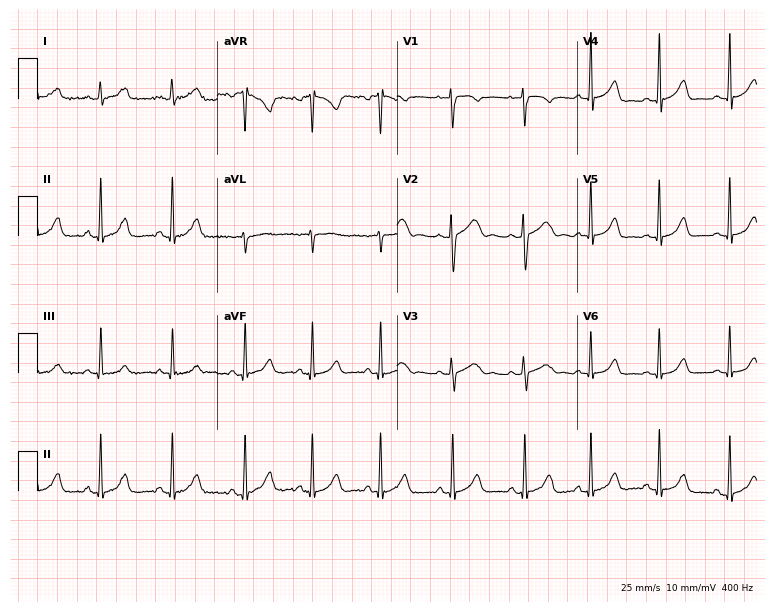
12-lead ECG from a female, 17 years old. Recorded interpretation: within normal limits.